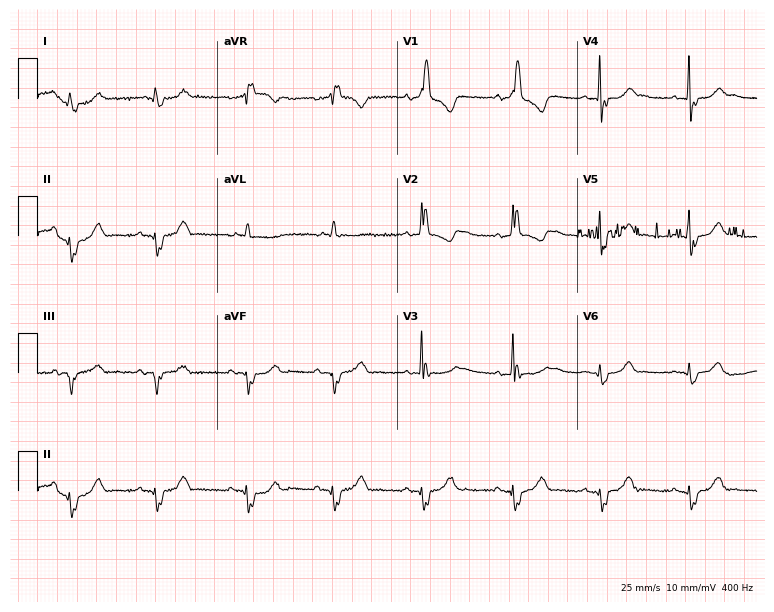
Standard 12-lead ECG recorded from an 80-year-old man (7.3-second recording at 400 Hz). None of these six findings is recorded: first-degree AV block, right bundle branch block, left bundle branch block, sinus bradycardia, atrial fibrillation, sinus tachycardia. Other findings, if any, are not listed.